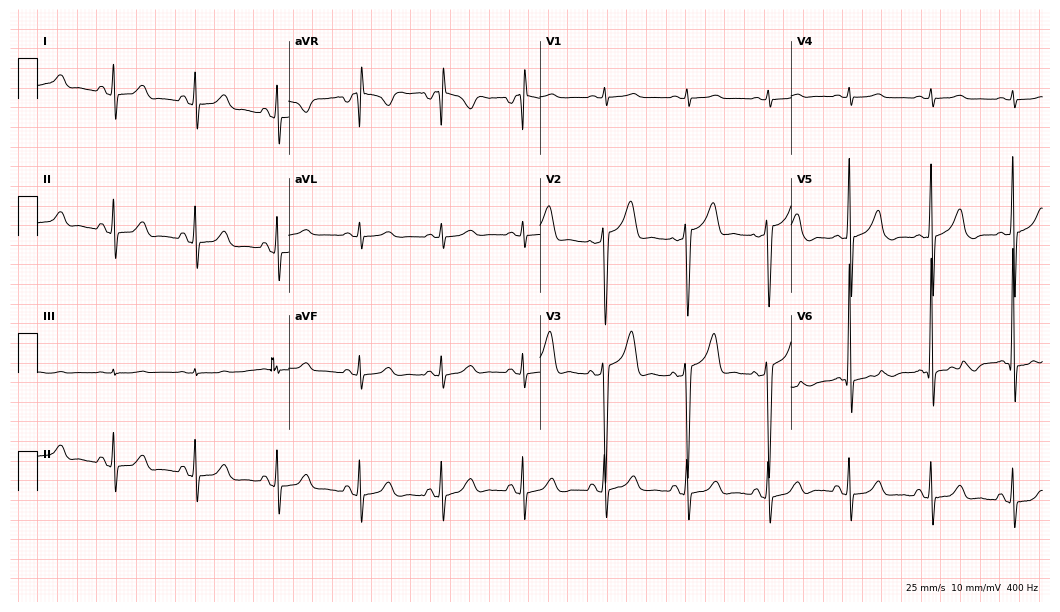
12-lead ECG from a male patient, 56 years old. Recorded interpretation: within normal limits.